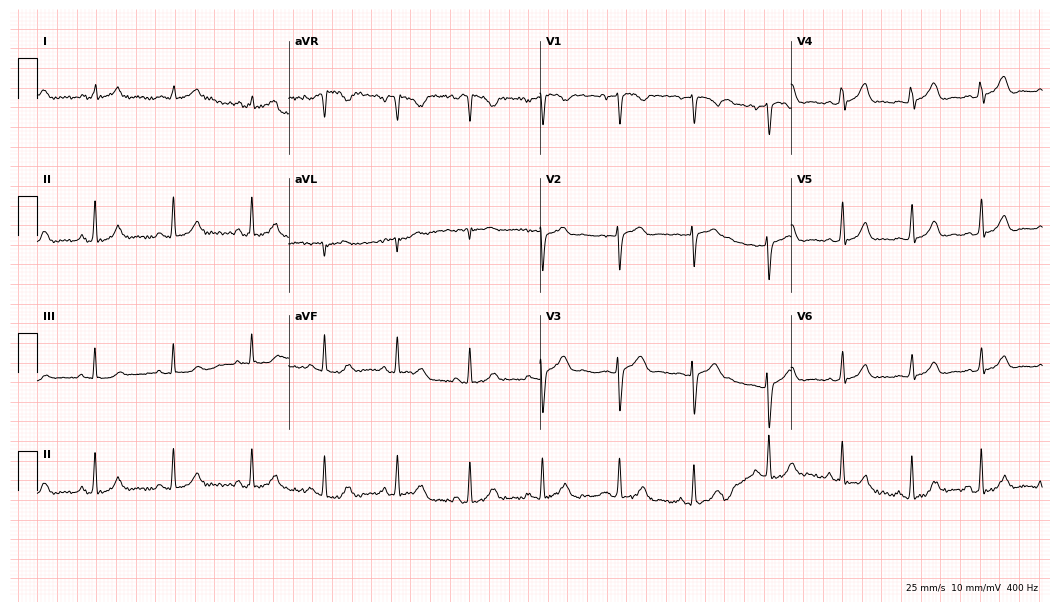
Standard 12-lead ECG recorded from a 27-year-old female patient. Read as a normal ECG.